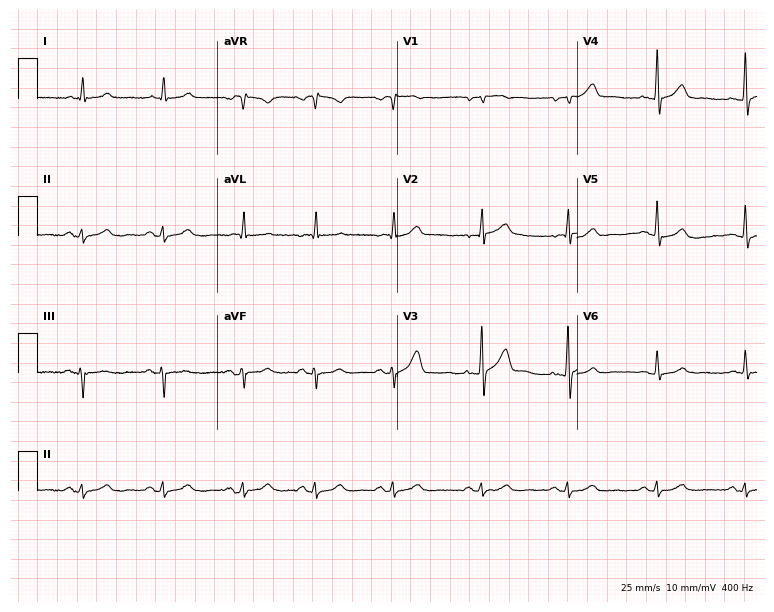
Standard 12-lead ECG recorded from a man, 63 years old. Read as a normal ECG.